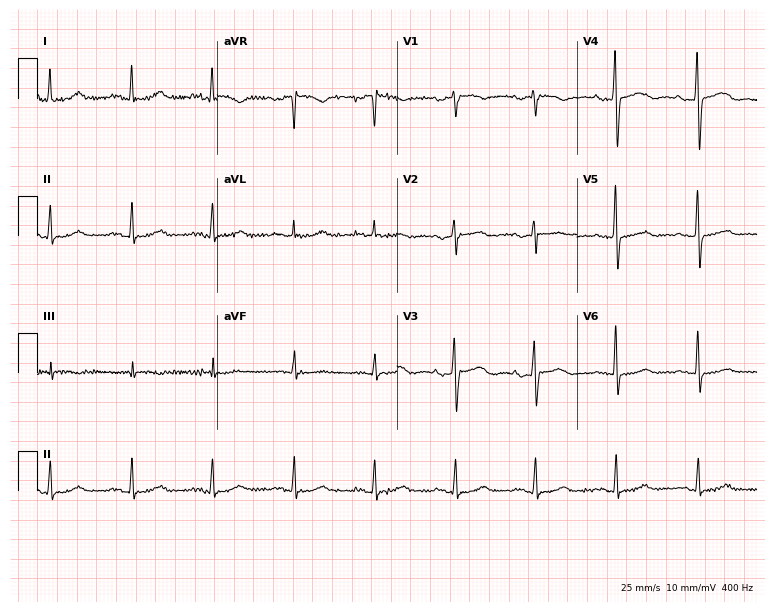
ECG — a female patient, 65 years old. Screened for six findings — first-degree AV block, right bundle branch block (RBBB), left bundle branch block (LBBB), sinus bradycardia, atrial fibrillation (AF), sinus tachycardia — none is recorded. Other findings, if any, are not listed.